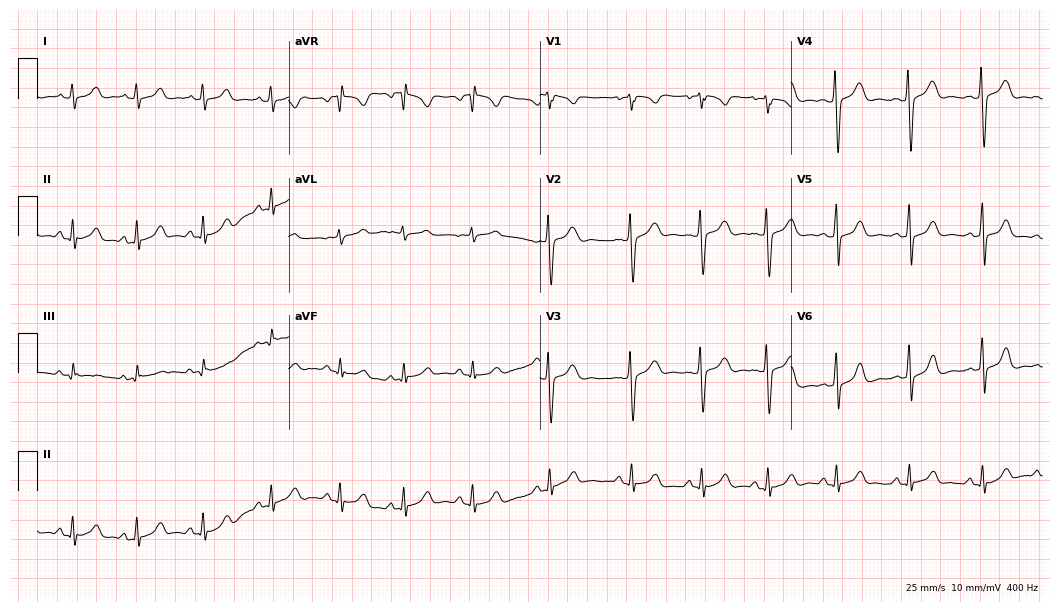
12-lead ECG from a 21-year-old woman (10.2-second recording at 400 Hz). No first-degree AV block, right bundle branch block, left bundle branch block, sinus bradycardia, atrial fibrillation or sinus tachycardia recorded for this tracing. Findings outside these six are not listed.